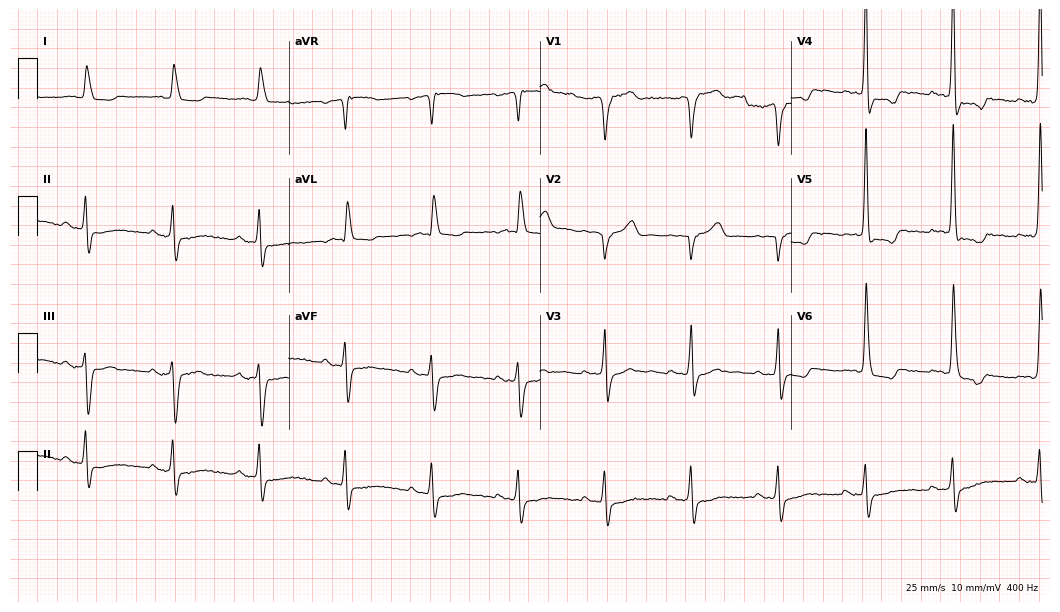
Electrocardiogram (10.2-second recording at 400 Hz), a man, 85 years old. Interpretation includes left bundle branch block (LBBB).